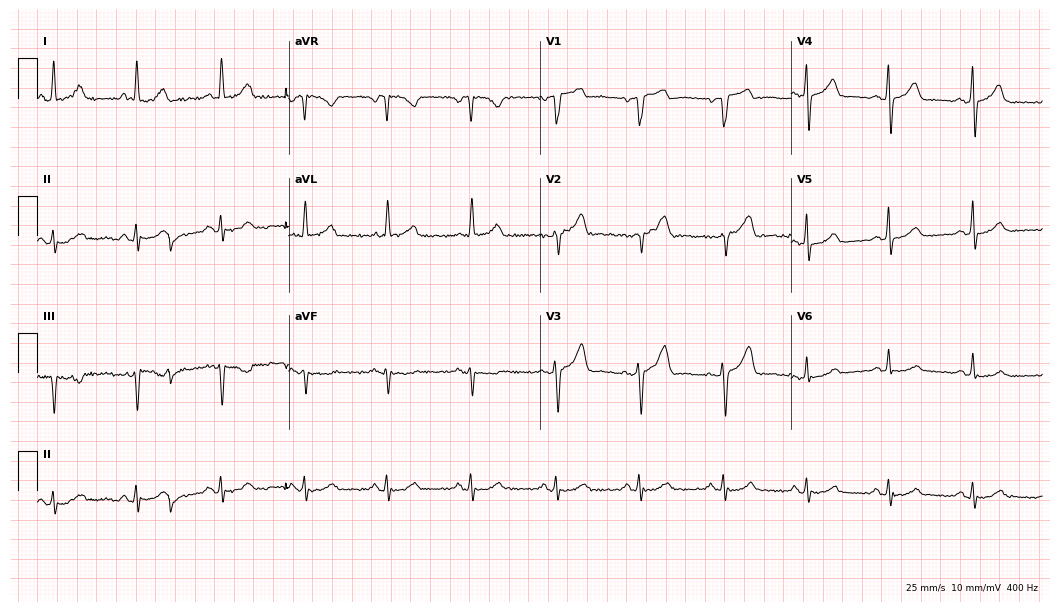
12-lead ECG from a 68-year-old male patient. No first-degree AV block, right bundle branch block (RBBB), left bundle branch block (LBBB), sinus bradycardia, atrial fibrillation (AF) or sinus tachycardia recorded for this tracing.